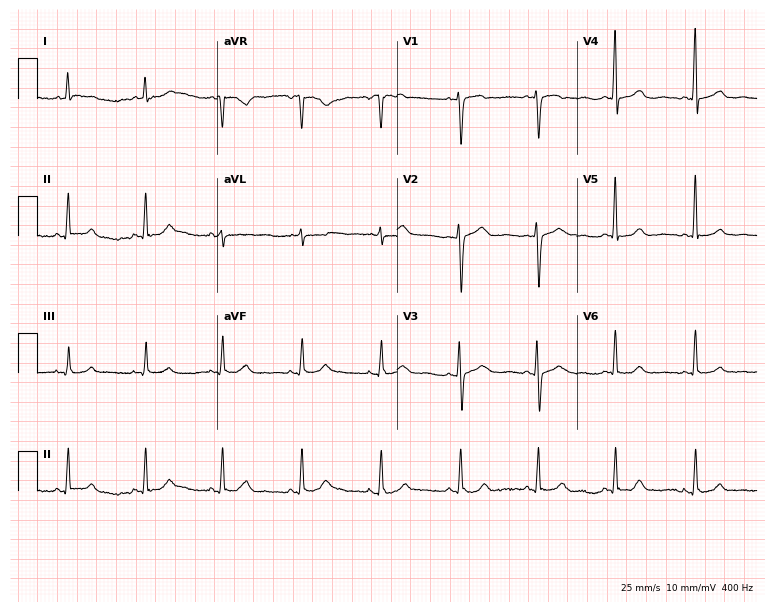
12-lead ECG (7.3-second recording at 400 Hz) from a female, 57 years old. Labelled as a normal ECG.